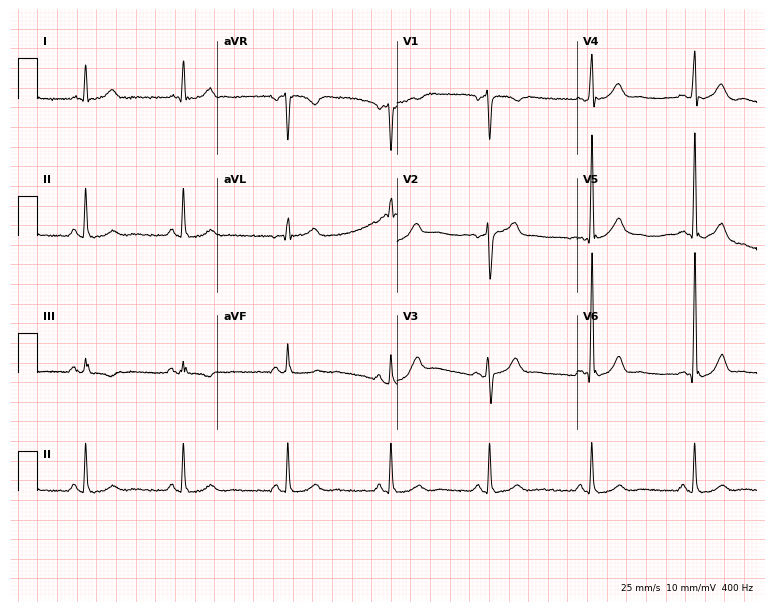
Electrocardiogram, a 44-year-old man. Overall reading on record: normal ECG.